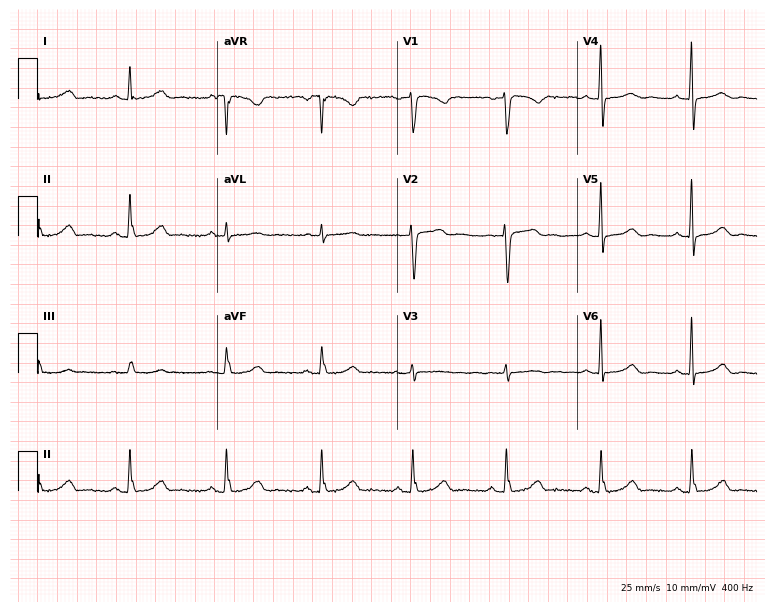
Resting 12-lead electrocardiogram. Patient: a woman, 51 years old. Read as a normal ECG.